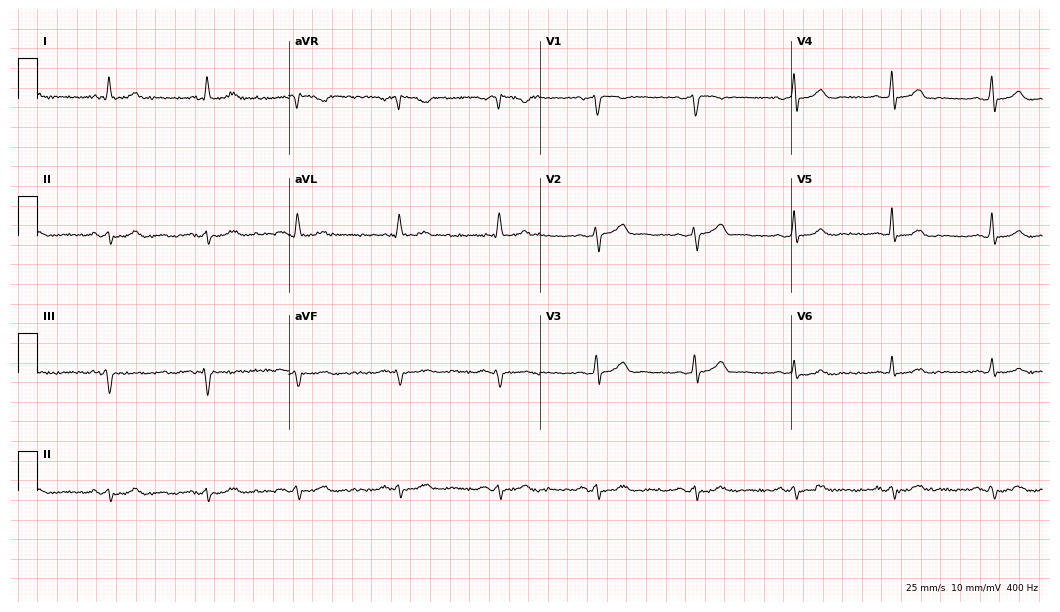
Resting 12-lead electrocardiogram. Patient: a 78-year-old man. None of these six findings is recorded: first-degree AV block, right bundle branch block (RBBB), left bundle branch block (LBBB), sinus bradycardia, atrial fibrillation (AF), sinus tachycardia. Findings outside these six are not listed.